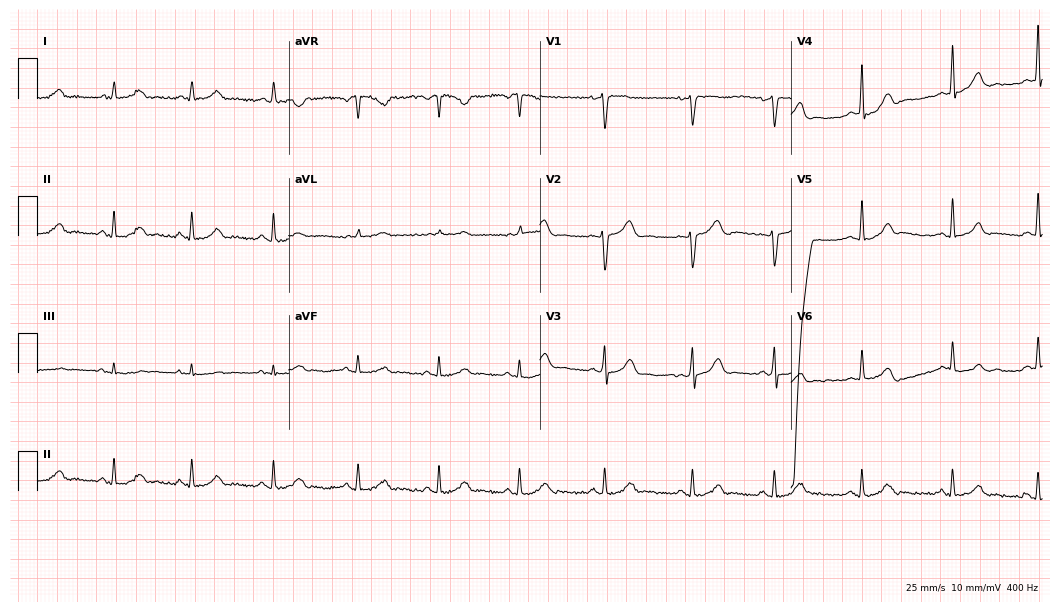
Standard 12-lead ECG recorded from a 39-year-old female patient. None of these six findings is recorded: first-degree AV block, right bundle branch block, left bundle branch block, sinus bradycardia, atrial fibrillation, sinus tachycardia.